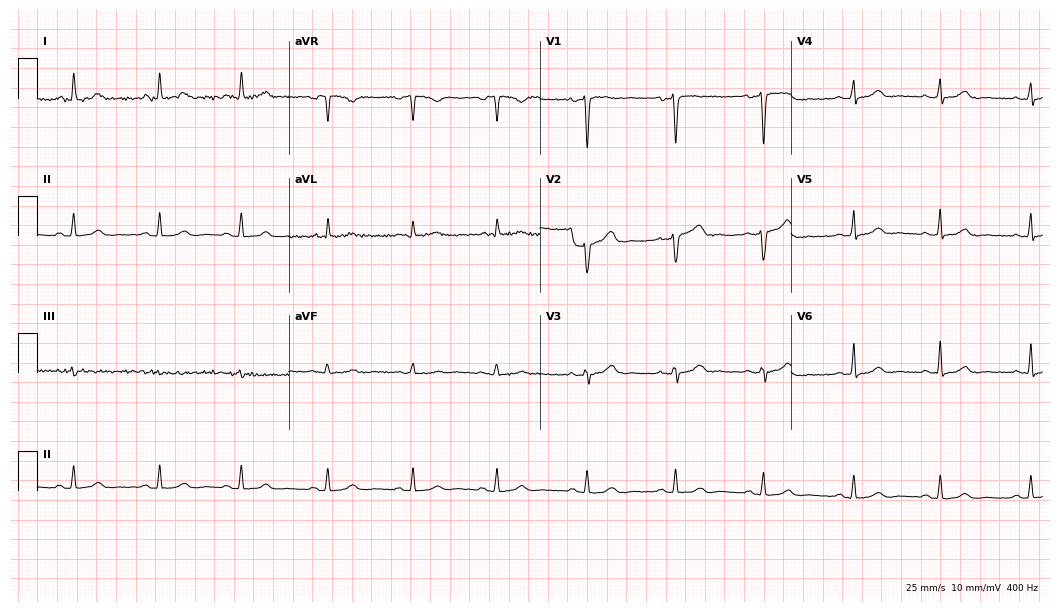
Standard 12-lead ECG recorded from a 40-year-old woman. Read as a normal ECG.